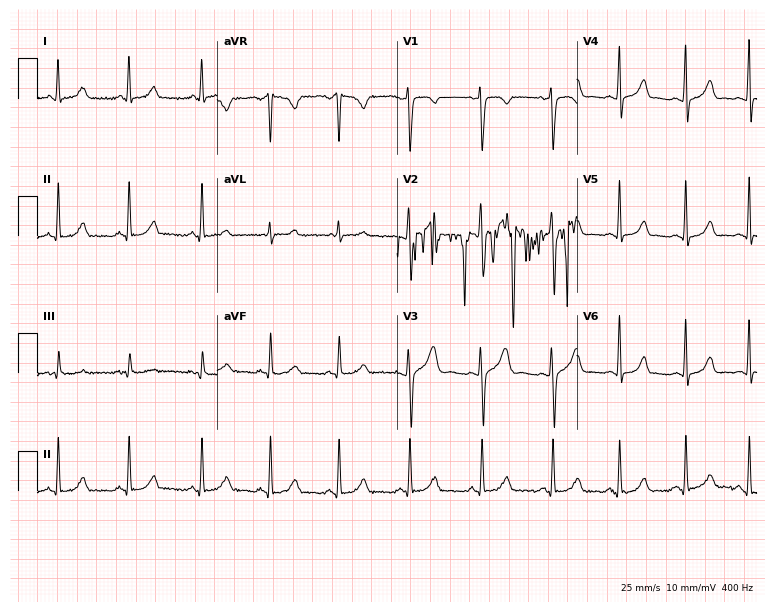
Standard 12-lead ECG recorded from a woman, 26 years old (7.3-second recording at 400 Hz). Read as a normal ECG.